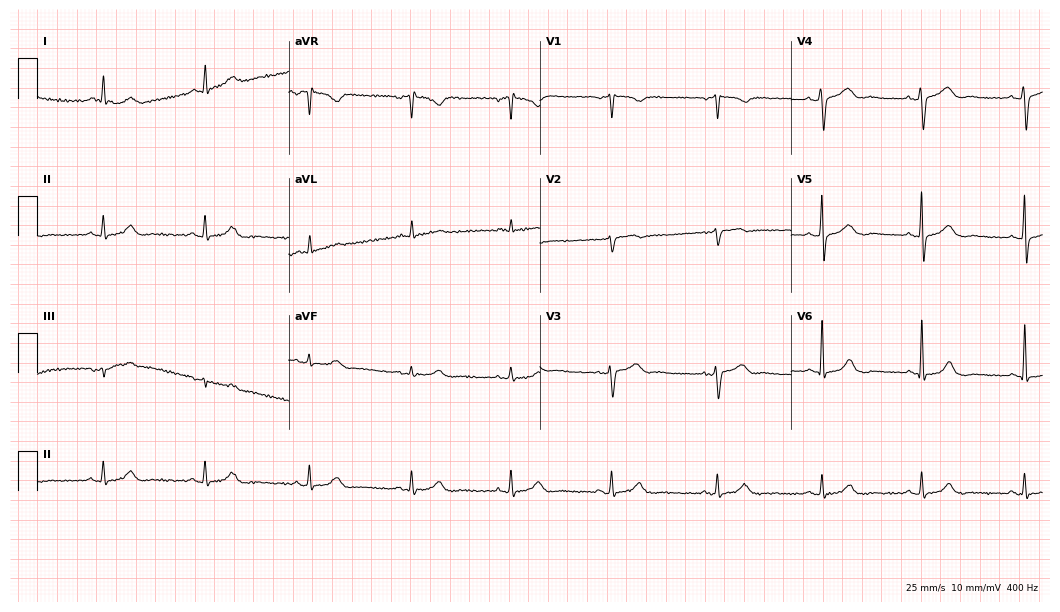
Standard 12-lead ECG recorded from a 47-year-old woman (10.2-second recording at 400 Hz). Read as a normal ECG.